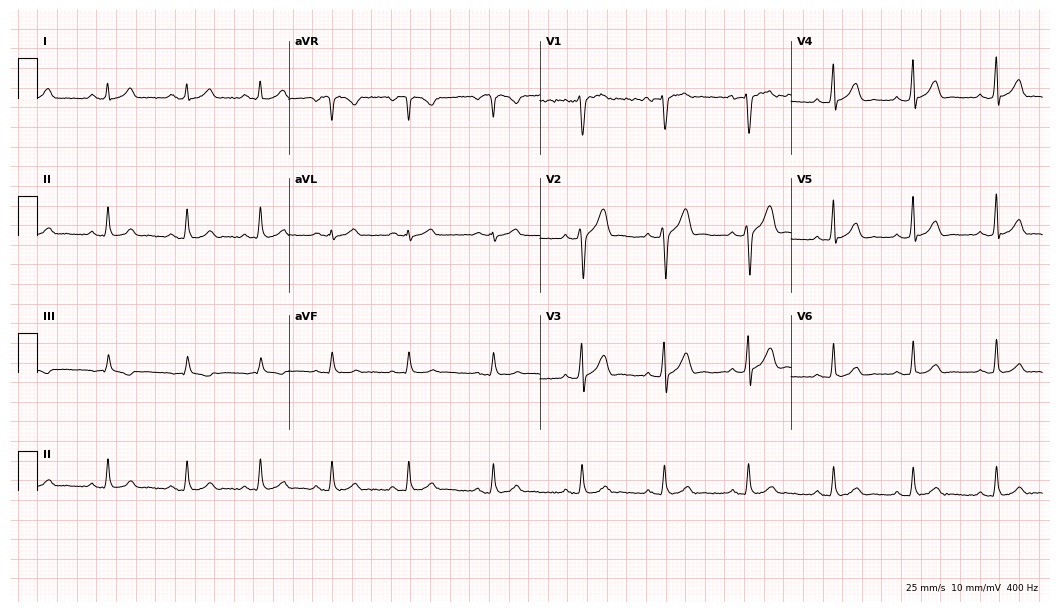
Resting 12-lead electrocardiogram. Patient: a male, 24 years old. Read as a normal ECG.